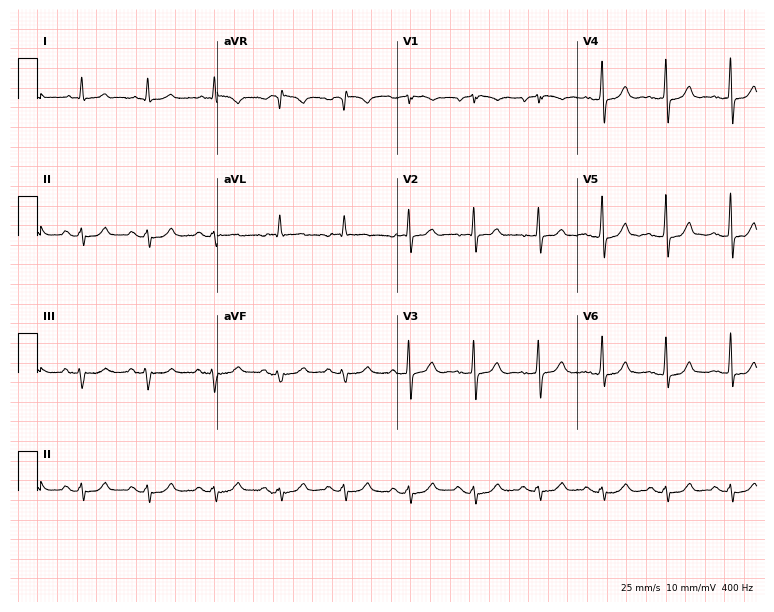
12-lead ECG from a male patient, 72 years old (7.3-second recording at 400 Hz). No first-degree AV block, right bundle branch block (RBBB), left bundle branch block (LBBB), sinus bradycardia, atrial fibrillation (AF) or sinus tachycardia recorded for this tracing.